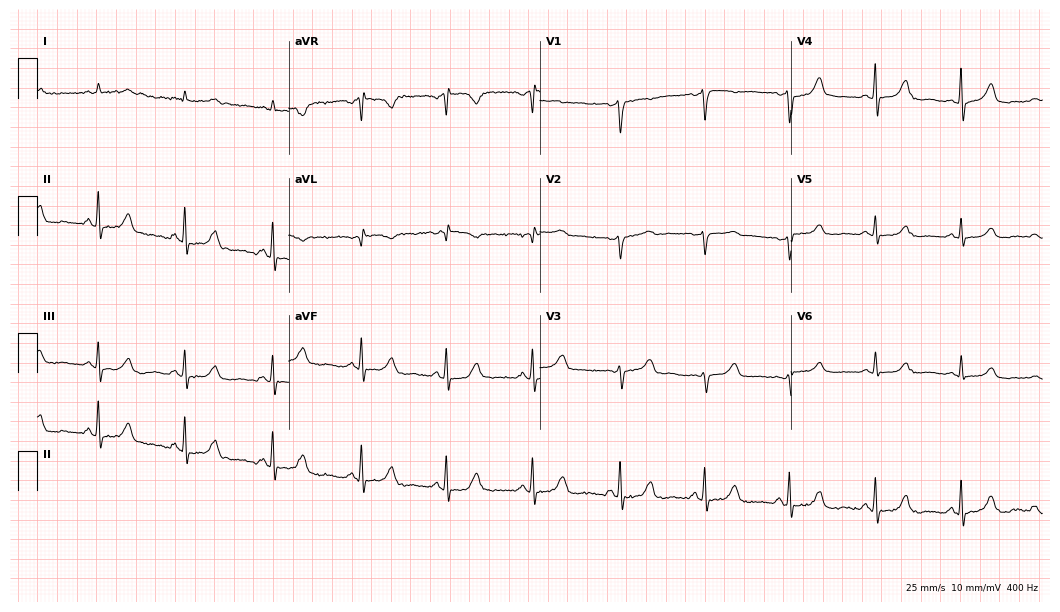
Resting 12-lead electrocardiogram. Patient: a male, 62 years old. Read as a normal ECG.